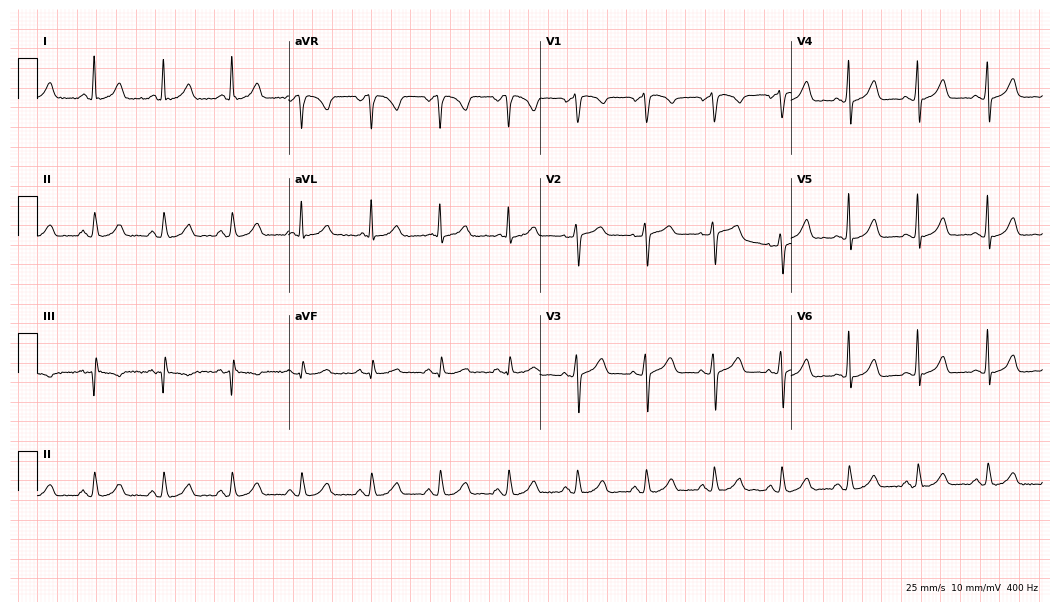
12-lead ECG from a 52-year-old female patient. Recorded interpretation: within normal limits.